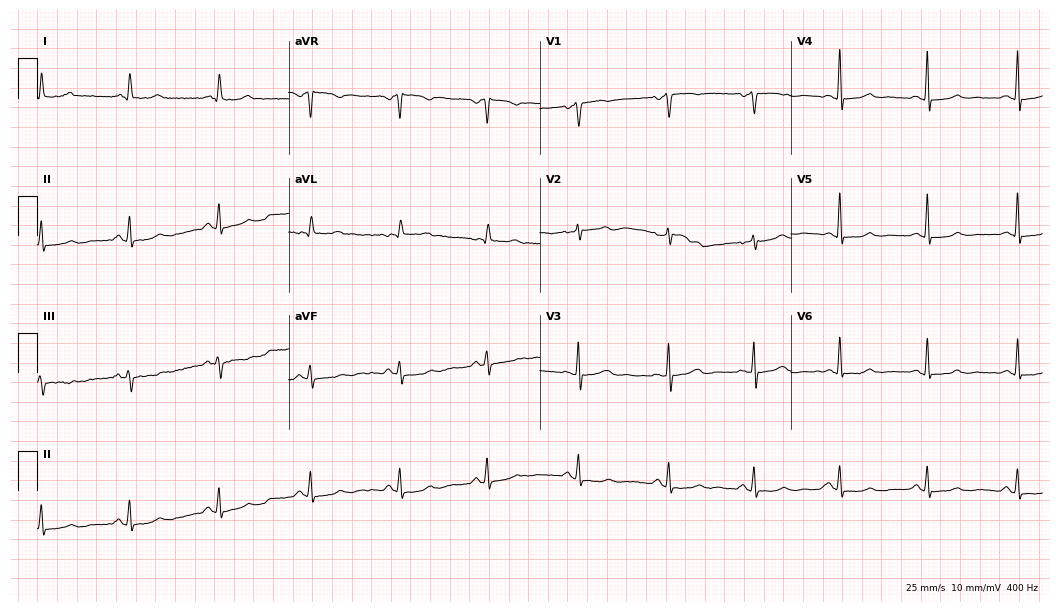
ECG (10.2-second recording at 400 Hz) — a woman, 51 years old. Labelled as a normal ECG.